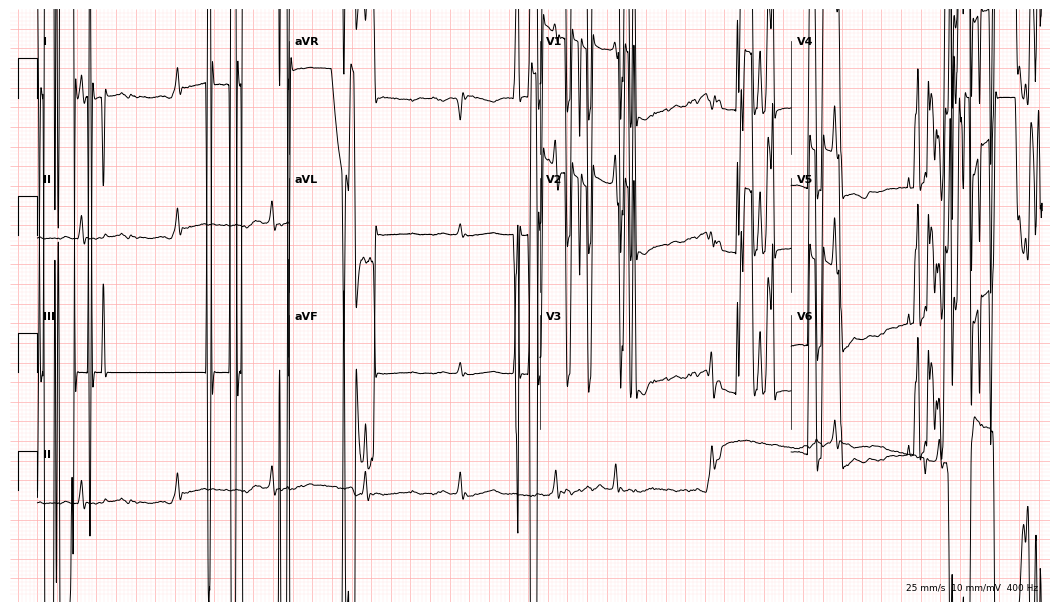
ECG — a female patient, 60 years old. Screened for six findings — first-degree AV block, right bundle branch block, left bundle branch block, sinus bradycardia, atrial fibrillation, sinus tachycardia — none is recorded. Only these six findings were labelled.